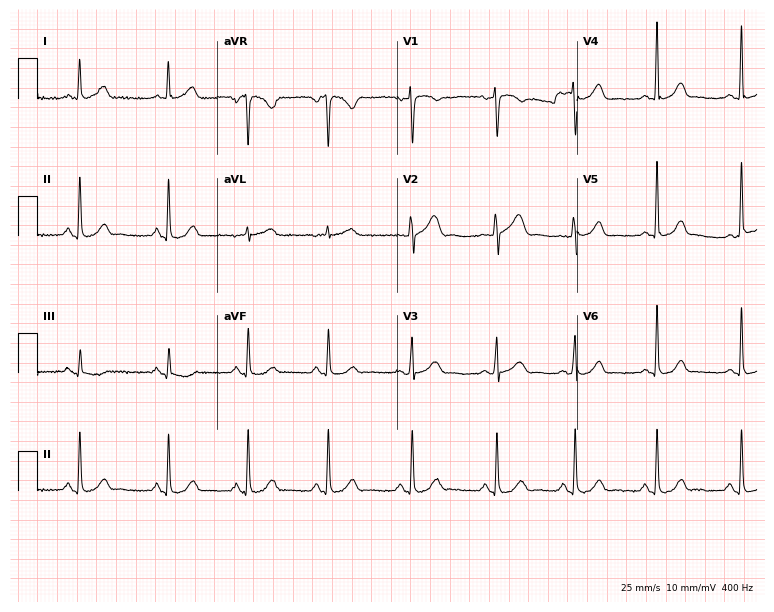
ECG (7.3-second recording at 400 Hz) — a female patient, 43 years old. Labelled as a normal ECG.